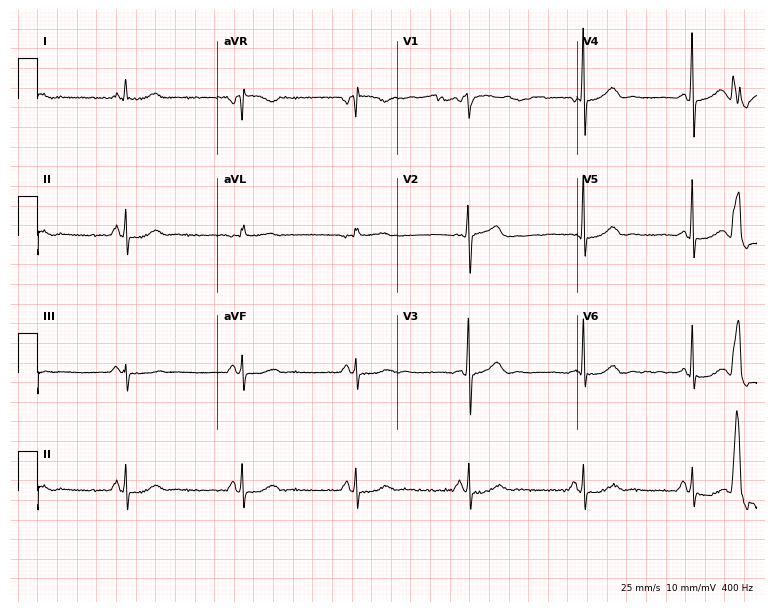
12-lead ECG (7.3-second recording at 400 Hz) from a woman, 54 years old. Labelled as a normal ECG.